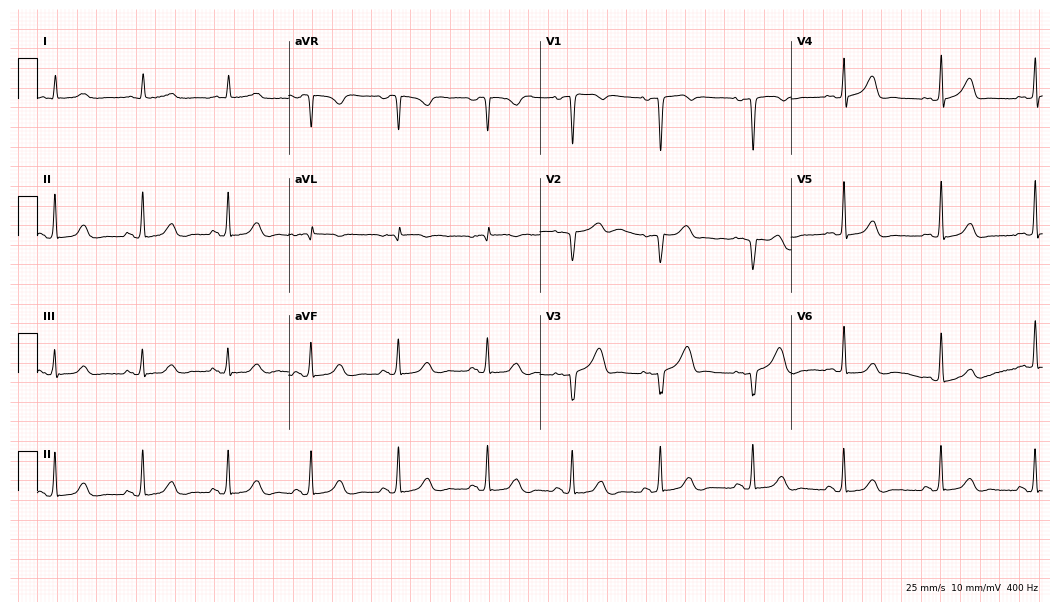
Resting 12-lead electrocardiogram (10.2-second recording at 400 Hz). Patient: a 55-year-old female. None of these six findings is recorded: first-degree AV block, right bundle branch block (RBBB), left bundle branch block (LBBB), sinus bradycardia, atrial fibrillation (AF), sinus tachycardia.